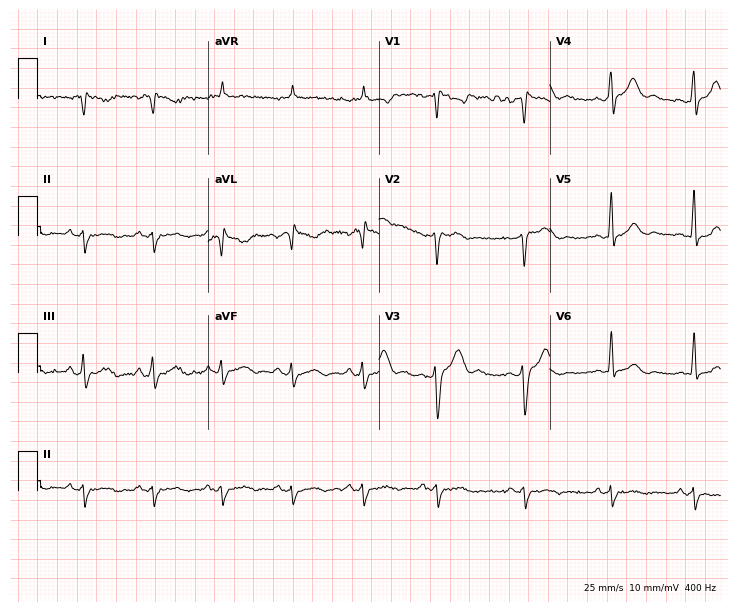
ECG (7-second recording at 400 Hz) — a 49-year-old male patient. Screened for six findings — first-degree AV block, right bundle branch block, left bundle branch block, sinus bradycardia, atrial fibrillation, sinus tachycardia — none is recorded.